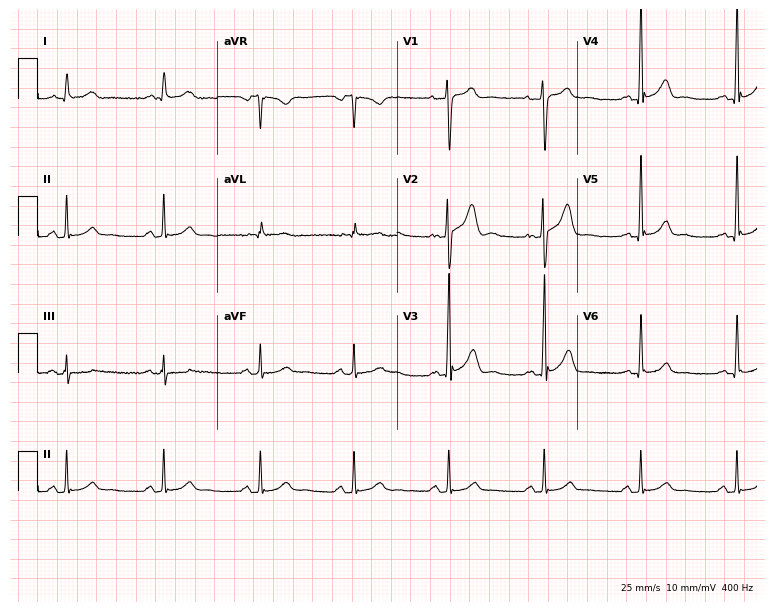
ECG (7.3-second recording at 400 Hz) — a 30-year-old male patient. Labelled as a normal ECG.